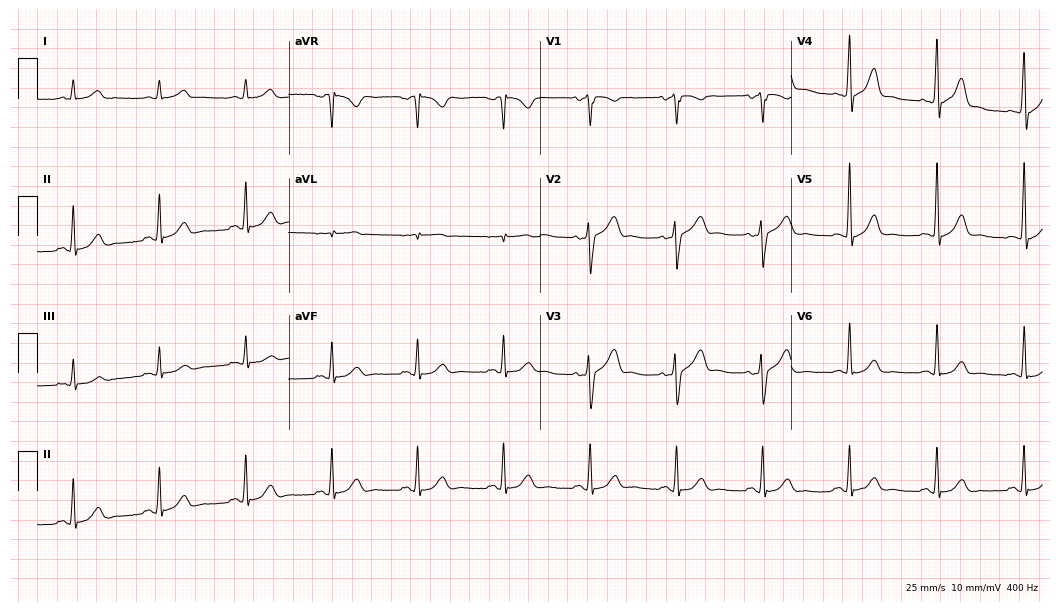
12-lead ECG (10.2-second recording at 400 Hz) from a male, 61 years old. Labelled as a normal ECG.